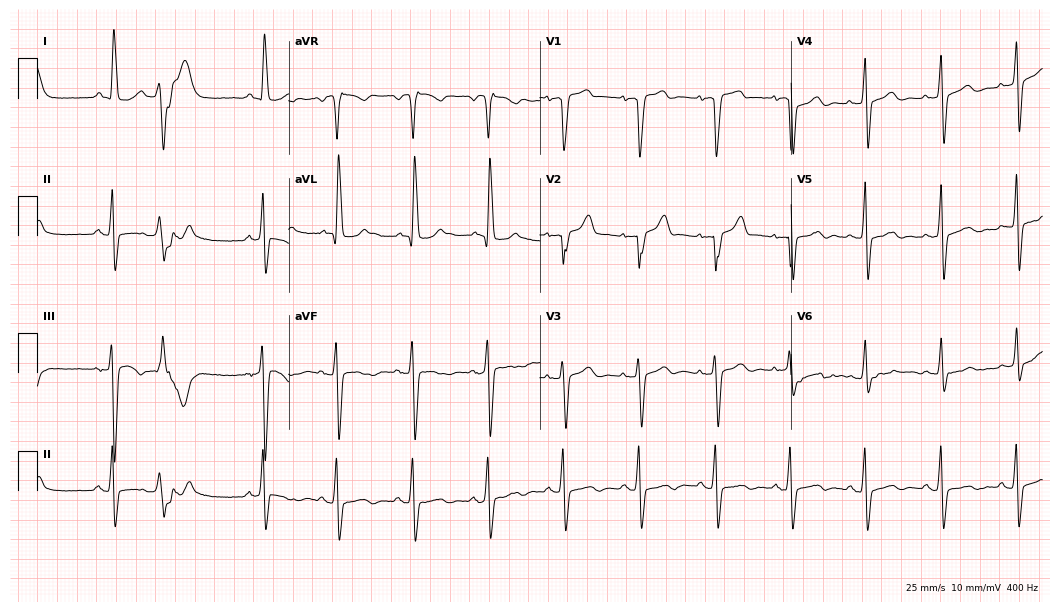
Standard 12-lead ECG recorded from a woman, 73 years old. None of these six findings is recorded: first-degree AV block, right bundle branch block, left bundle branch block, sinus bradycardia, atrial fibrillation, sinus tachycardia.